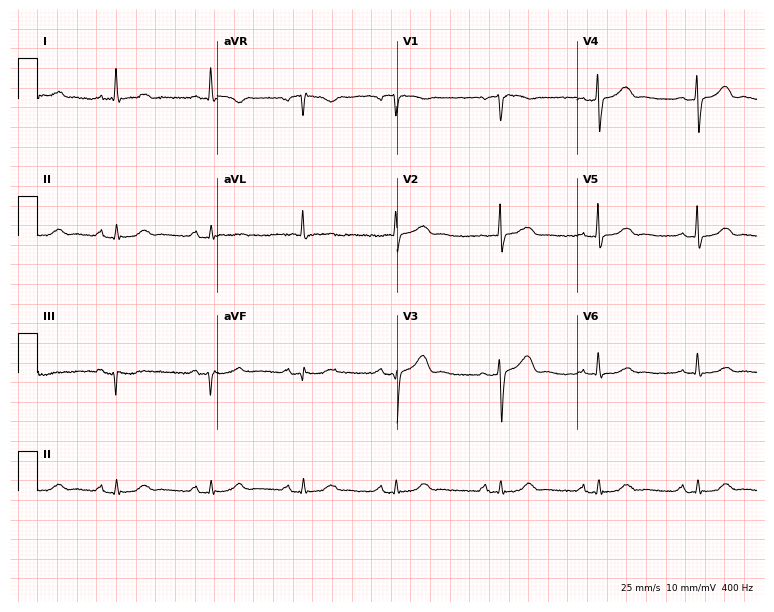
Electrocardiogram, a 70-year-old female. Overall reading on record: normal ECG.